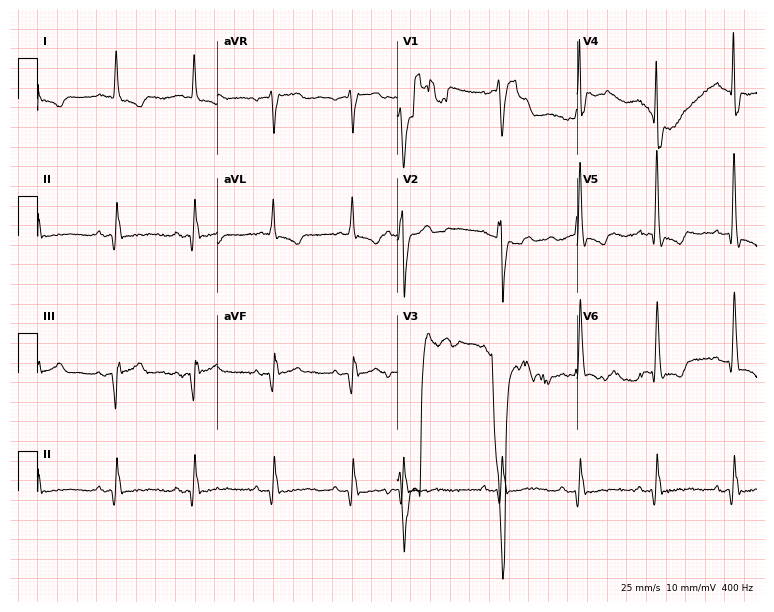
ECG — a male, 73 years old. Screened for six findings — first-degree AV block, right bundle branch block (RBBB), left bundle branch block (LBBB), sinus bradycardia, atrial fibrillation (AF), sinus tachycardia — none is recorded. Only these six findings were labelled.